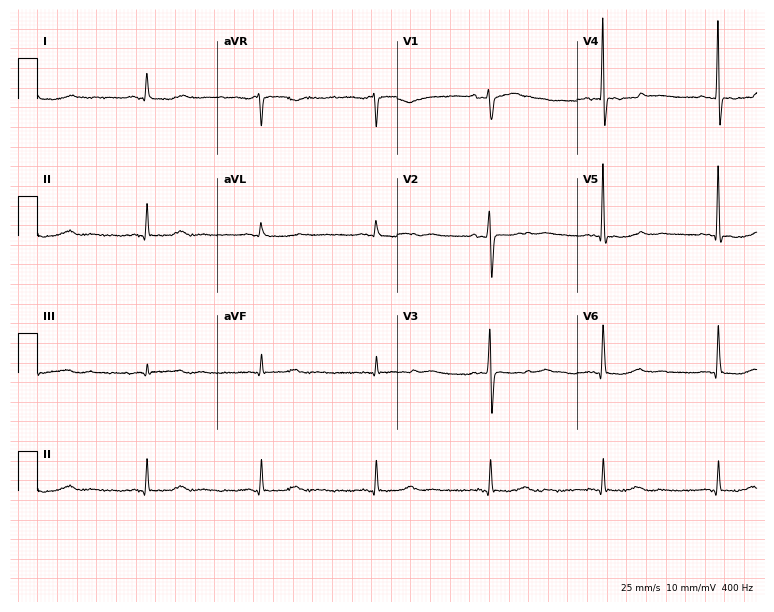
12-lead ECG from a 70-year-old female patient (7.3-second recording at 400 Hz). No first-degree AV block, right bundle branch block (RBBB), left bundle branch block (LBBB), sinus bradycardia, atrial fibrillation (AF) or sinus tachycardia recorded for this tracing.